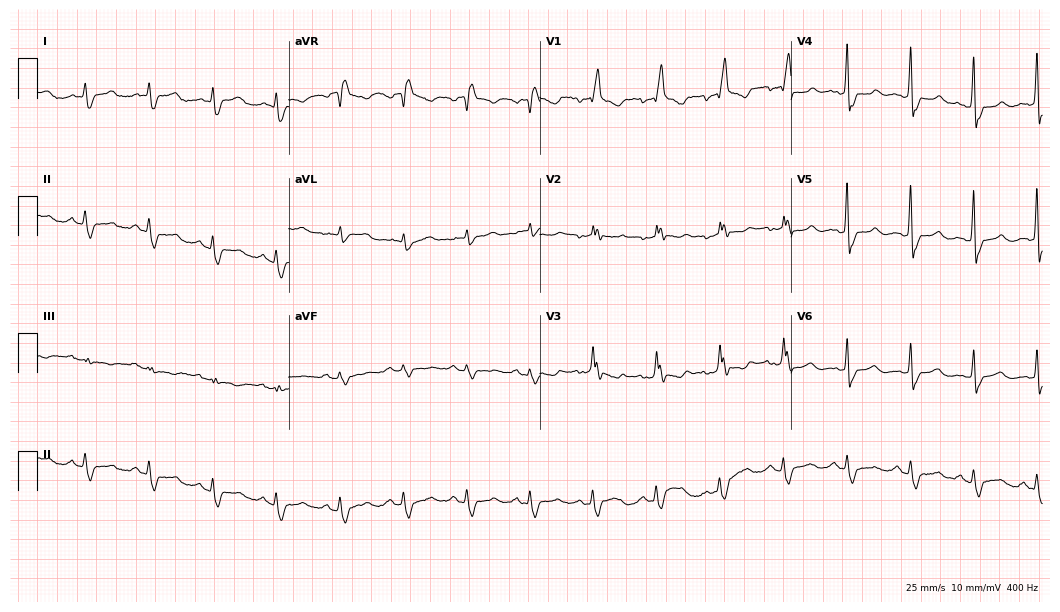
ECG (10.2-second recording at 400 Hz) — a male patient, 71 years old. Screened for six findings — first-degree AV block, right bundle branch block, left bundle branch block, sinus bradycardia, atrial fibrillation, sinus tachycardia — none is recorded.